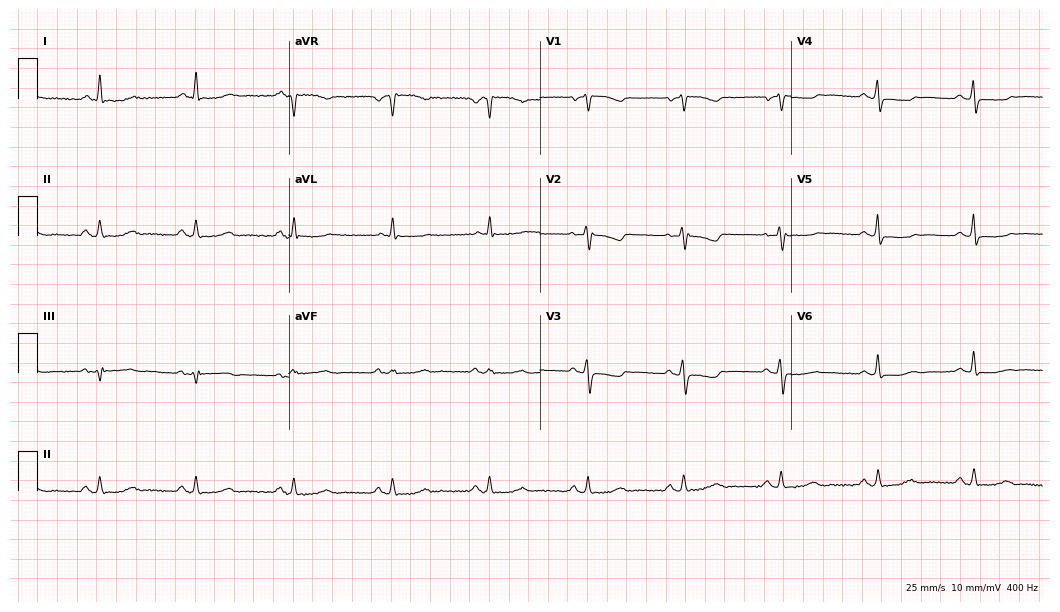
Resting 12-lead electrocardiogram (10.2-second recording at 400 Hz). Patient: a 62-year-old woman. None of these six findings is recorded: first-degree AV block, right bundle branch block, left bundle branch block, sinus bradycardia, atrial fibrillation, sinus tachycardia.